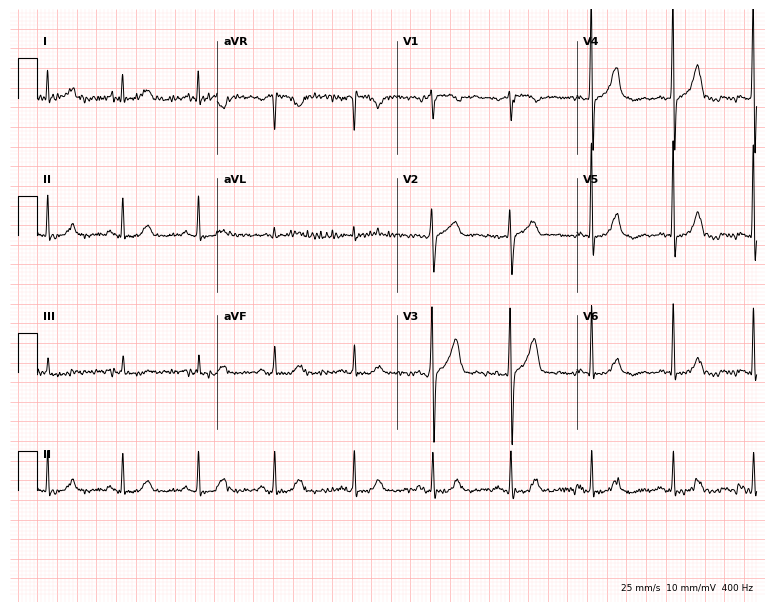
ECG (7.3-second recording at 400 Hz) — a 77-year-old male. Labelled as a normal ECG.